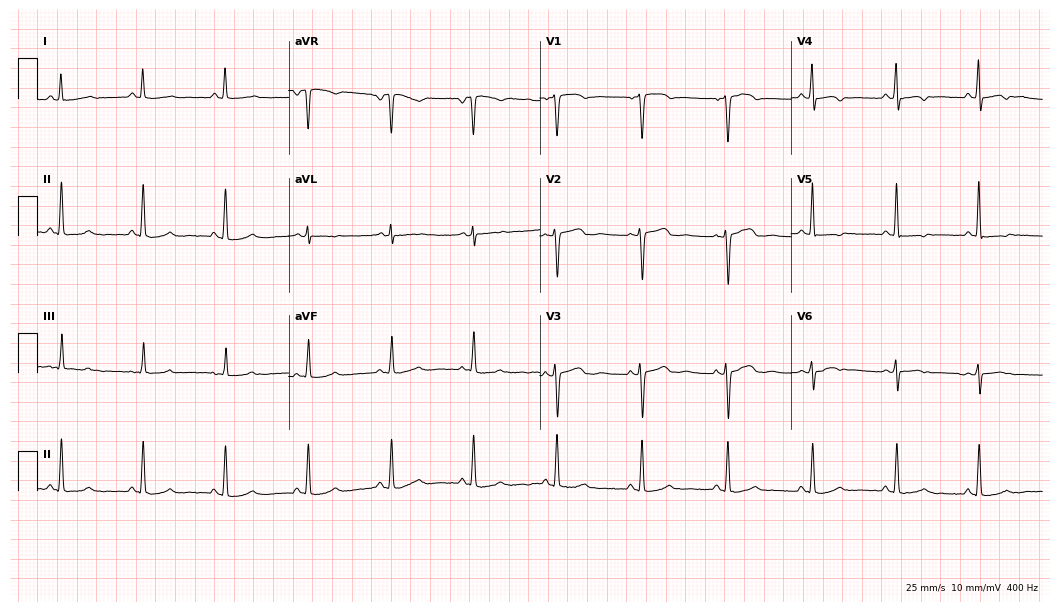
12-lead ECG from a 52-year-old female patient (10.2-second recording at 400 Hz). Recorded interpretation: within normal limits.